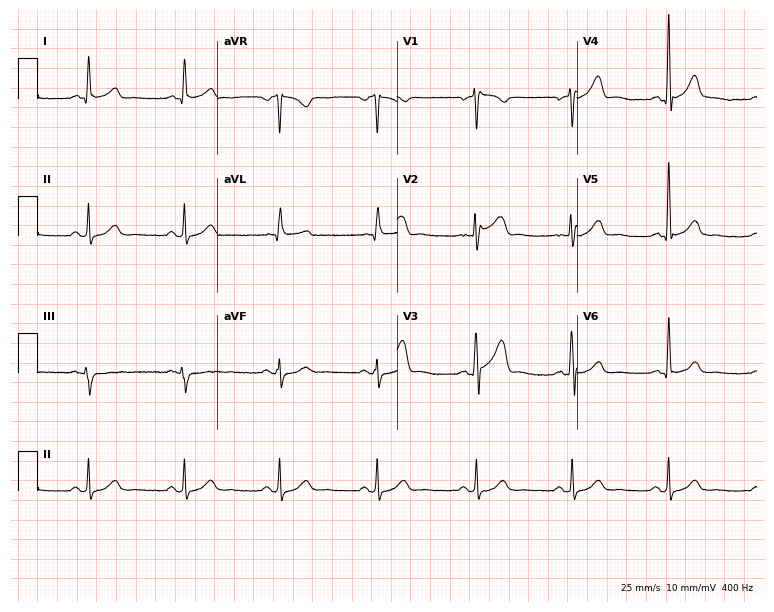
Standard 12-lead ECG recorded from a male, 52 years old (7.3-second recording at 400 Hz). Read as a normal ECG.